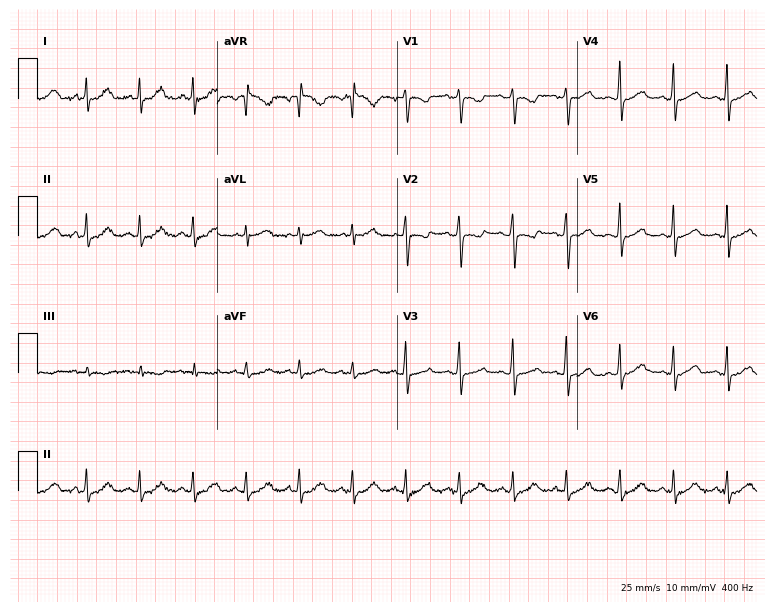
ECG (7.3-second recording at 400 Hz) — a female patient, 44 years old. Findings include sinus tachycardia (a sinus rate of 100 beats per minute or more).